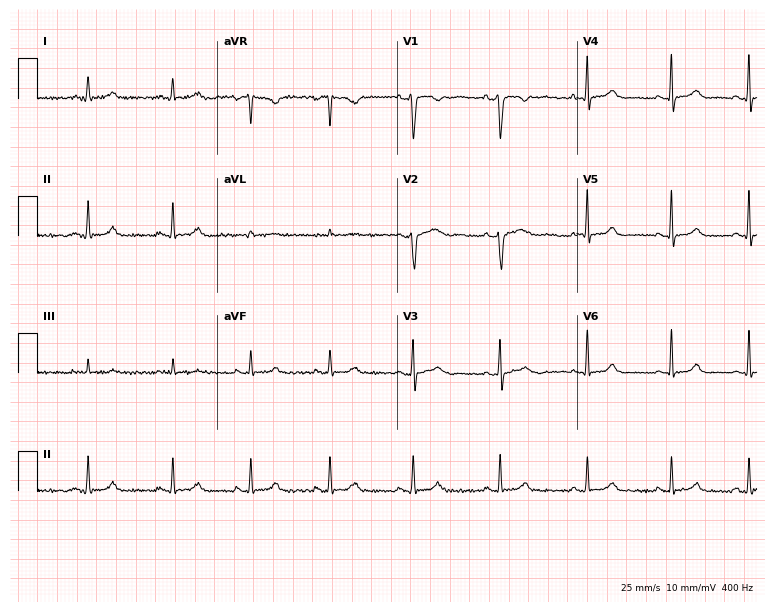
Standard 12-lead ECG recorded from a 27-year-old woman. None of these six findings is recorded: first-degree AV block, right bundle branch block (RBBB), left bundle branch block (LBBB), sinus bradycardia, atrial fibrillation (AF), sinus tachycardia.